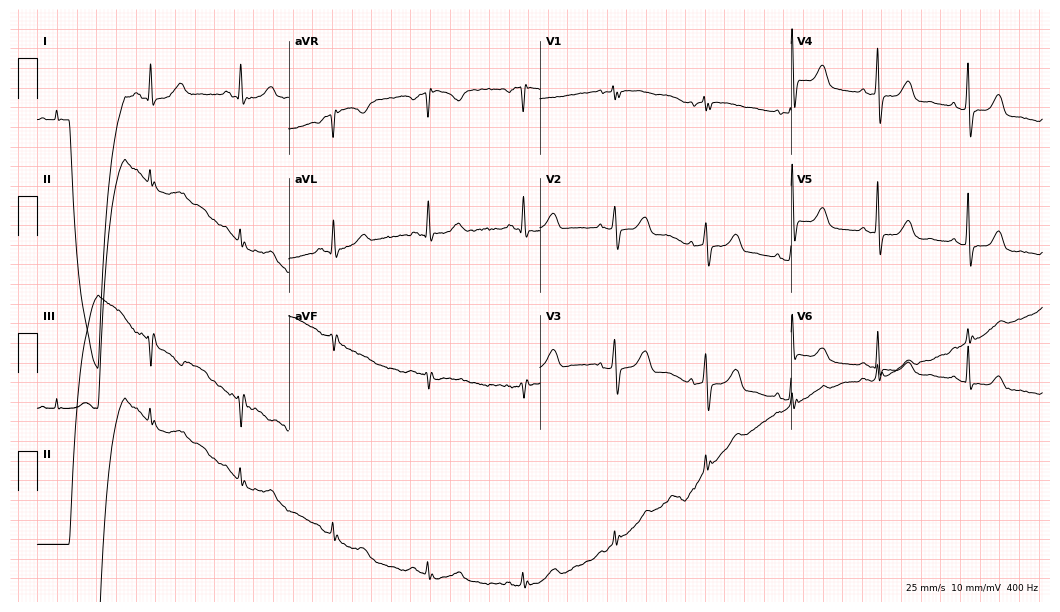
Standard 12-lead ECG recorded from a 60-year-old woman (10.2-second recording at 400 Hz). None of these six findings is recorded: first-degree AV block, right bundle branch block (RBBB), left bundle branch block (LBBB), sinus bradycardia, atrial fibrillation (AF), sinus tachycardia.